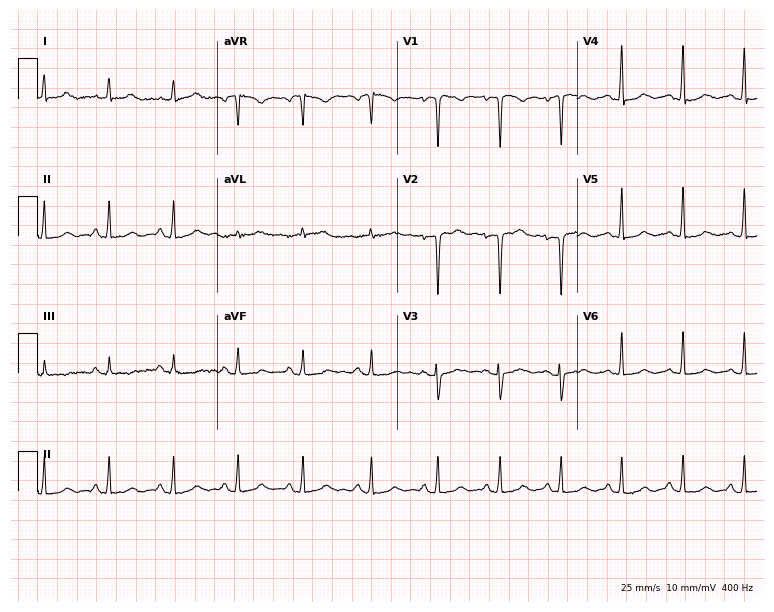
ECG — a 39-year-old male. Labelled as a normal ECG.